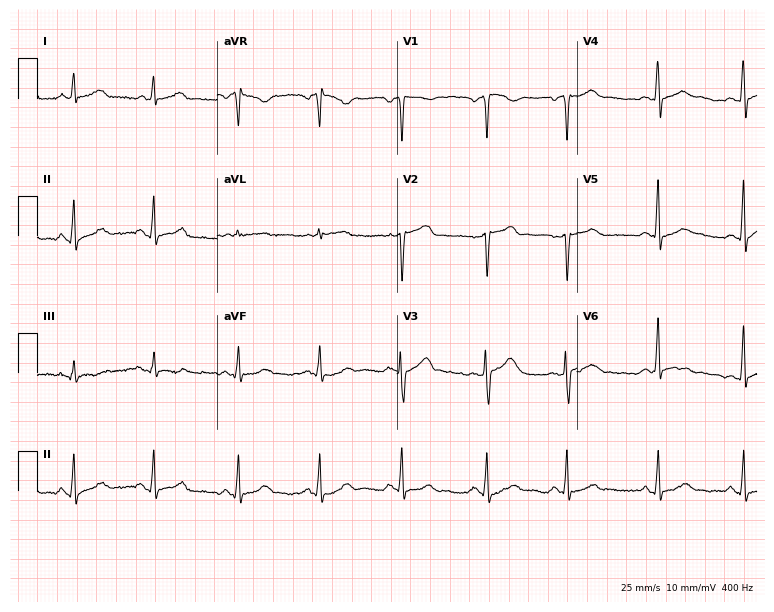
ECG (7.3-second recording at 400 Hz) — a man, 53 years old. Labelled as a normal ECG.